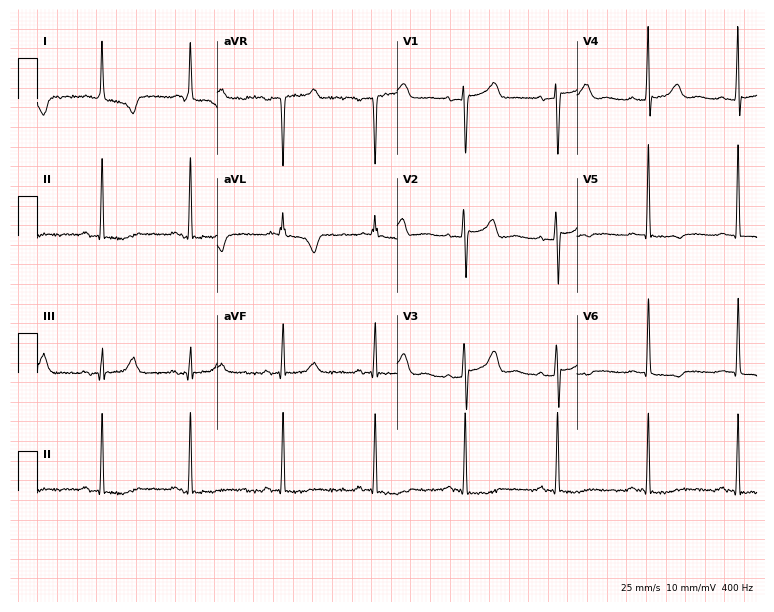
Standard 12-lead ECG recorded from a woman, 70 years old (7.3-second recording at 400 Hz). None of these six findings is recorded: first-degree AV block, right bundle branch block, left bundle branch block, sinus bradycardia, atrial fibrillation, sinus tachycardia.